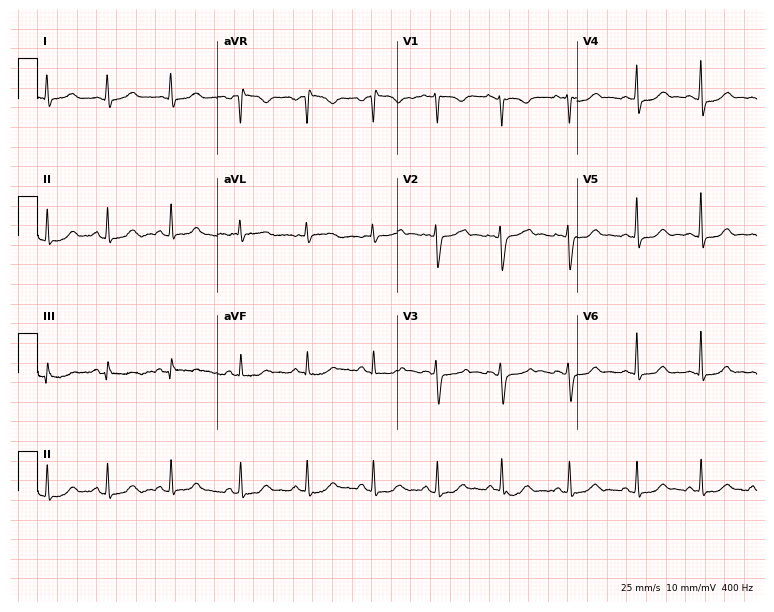
Standard 12-lead ECG recorded from a female, 32 years old (7.3-second recording at 400 Hz). None of these six findings is recorded: first-degree AV block, right bundle branch block, left bundle branch block, sinus bradycardia, atrial fibrillation, sinus tachycardia. Only these six findings were labelled.